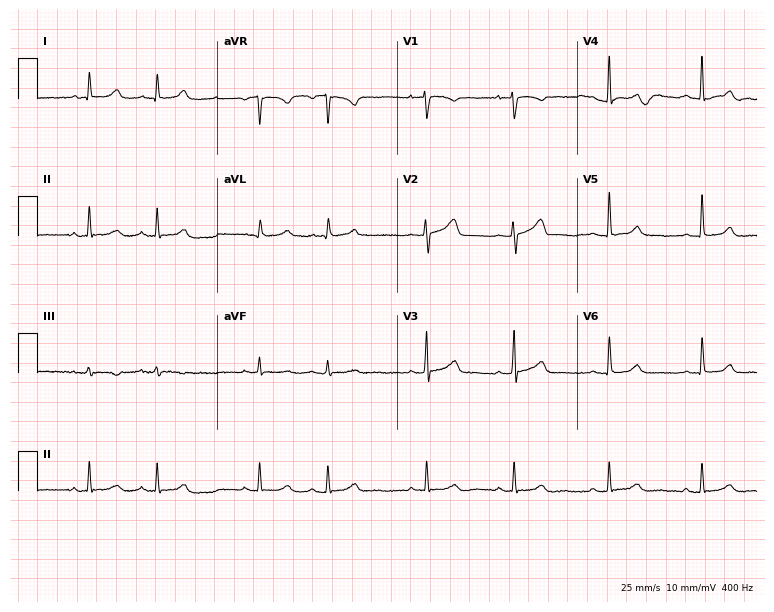
Electrocardiogram (7.3-second recording at 400 Hz), a female, 49 years old. Of the six screened findings (first-degree AV block, right bundle branch block, left bundle branch block, sinus bradycardia, atrial fibrillation, sinus tachycardia), none is recorded. Only these six findings were labelled.